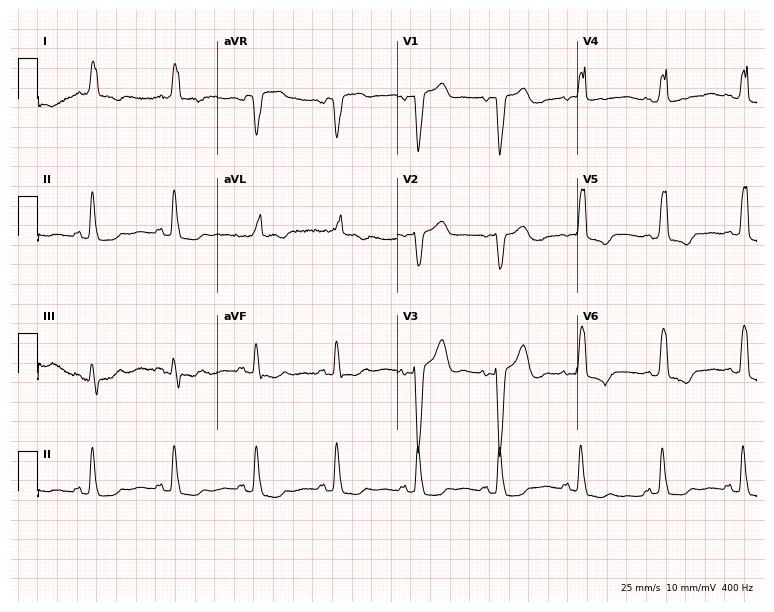
12-lead ECG (7.3-second recording at 400 Hz) from a female, 72 years old. Screened for six findings — first-degree AV block, right bundle branch block, left bundle branch block, sinus bradycardia, atrial fibrillation, sinus tachycardia — none is recorded. Findings outside these six are not listed.